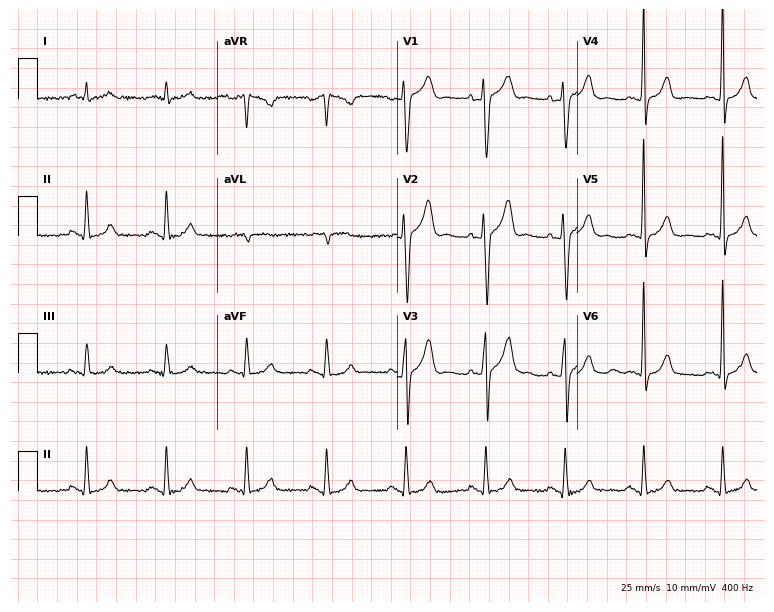
ECG (7.3-second recording at 400 Hz) — a male, 70 years old. Screened for six findings — first-degree AV block, right bundle branch block (RBBB), left bundle branch block (LBBB), sinus bradycardia, atrial fibrillation (AF), sinus tachycardia — none is recorded.